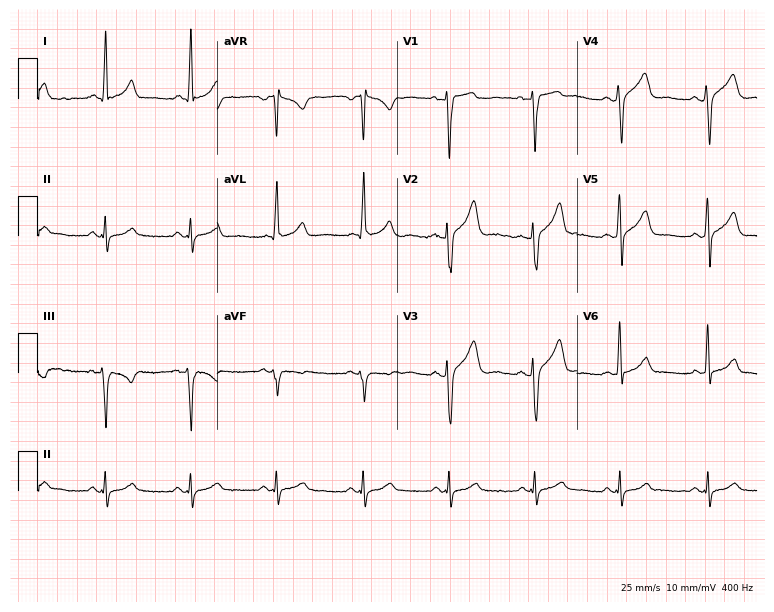
12-lead ECG from a 36-year-old man (7.3-second recording at 400 Hz). Recorded interpretation: within normal limits.